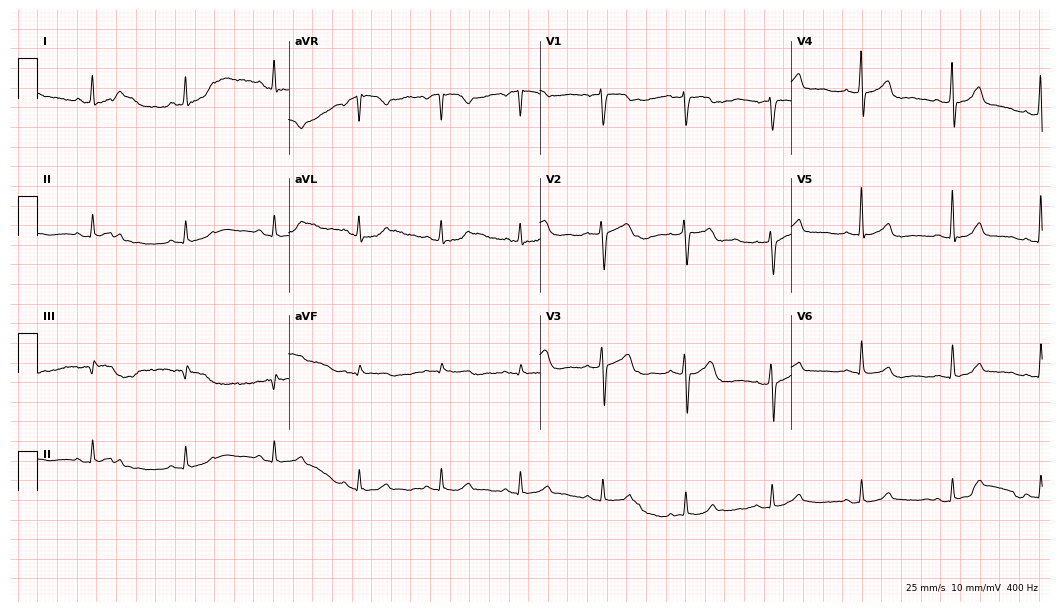
ECG (10.2-second recording at 400 Hz) — a man, 52 years old. Screened for six findings — first-degree AV block, right bundle branch block (RBBB), left bundle branch block (LBBB), sinus bradycardia, atrial fibrillation (AF), sinus tachycardia — none is recorded. Findings outside these six are not listed.